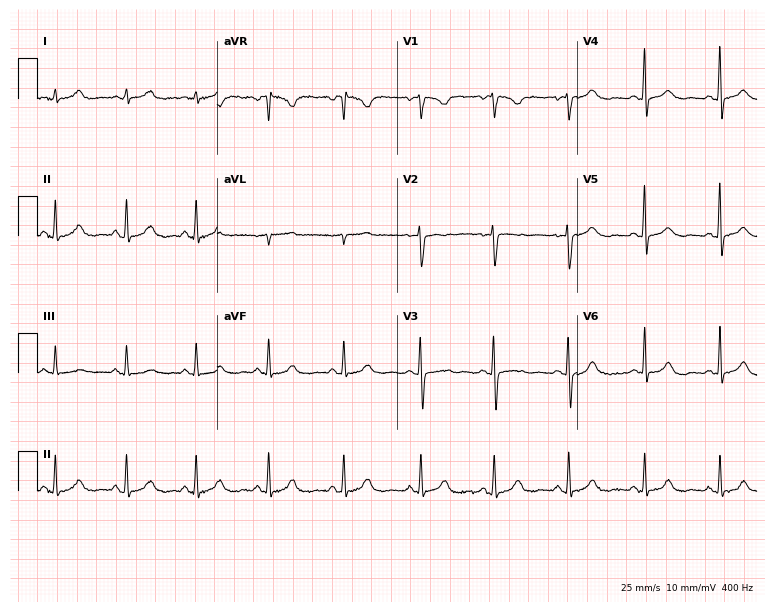
Standard 12-lead ECG recorded from a 44-year-old woman (7.3-second recording at 400 Hz). Read as a normal ECG.